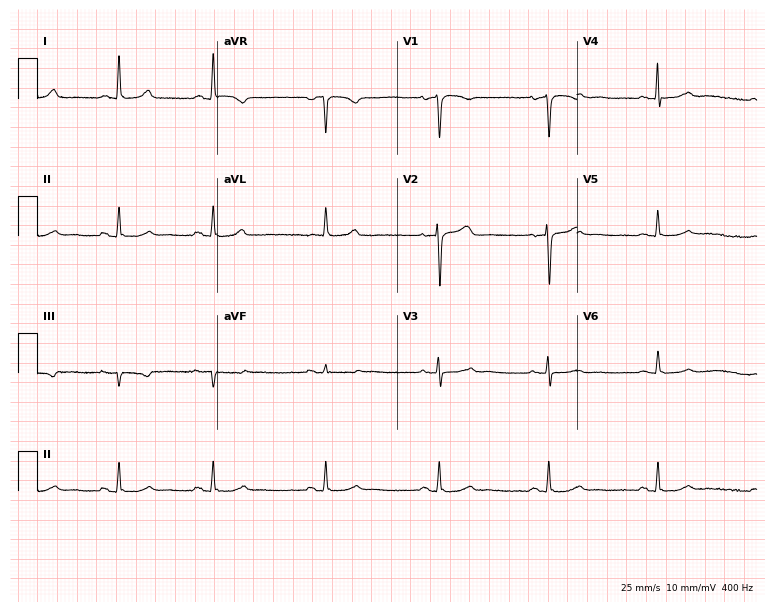
Electrocardiogram, a woman, 76 years old. Of the six screened findings (first-degree AV block, right bundle branch block (RBBB), left bundle branch block (LBBB), sinus bradycardia, atrial fibrillation (AF), sinus tachycardia), none is recorded. Only these six findings were labelled.